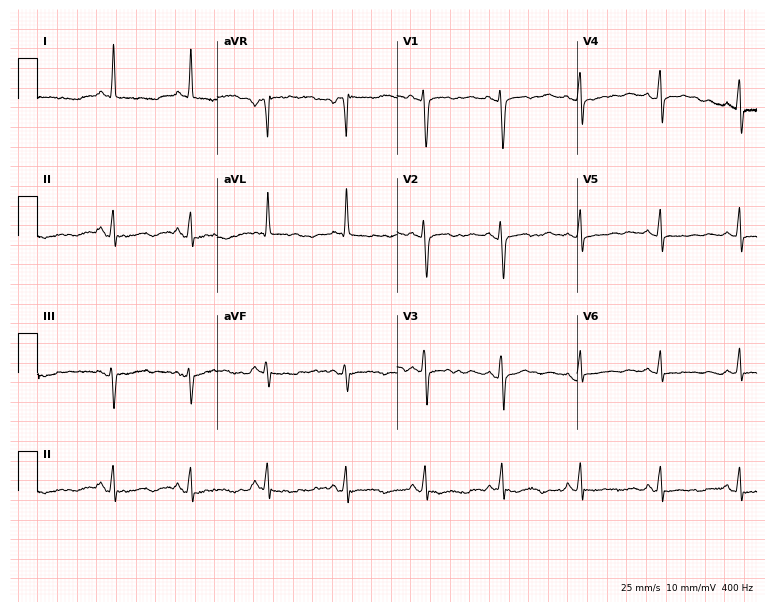
ECG — a woman, 53 years old. Screened for six findings — first-degree AV block, right bundle branch block (RBBB), left bundle branch block (LBBB), sinus bradycardia, atrial fibrillation (AF), sinus tachycardia — none is recorded.